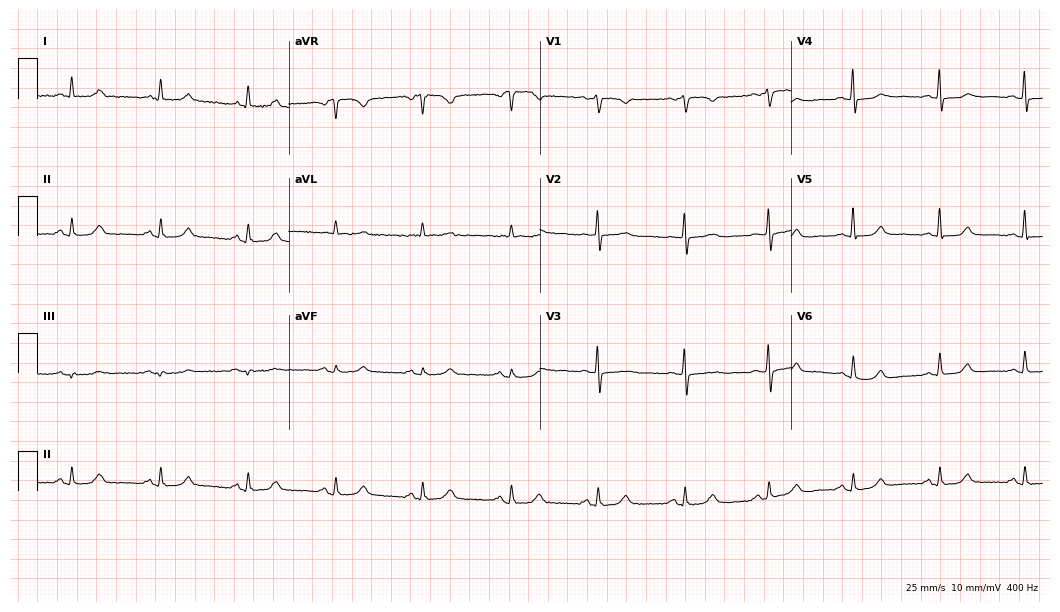
12-lead ECG from a woman, 63 years old. Recorded interpretation: within normal limits.